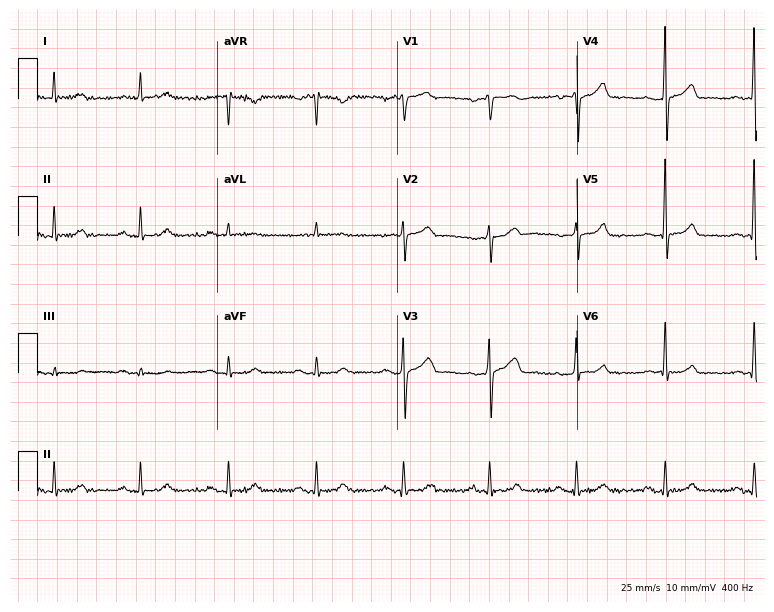
Standard 12-lead ECG recorded from a male, 65 years old (7.3-second recording at 400 Hz). Read as a normal ECG.